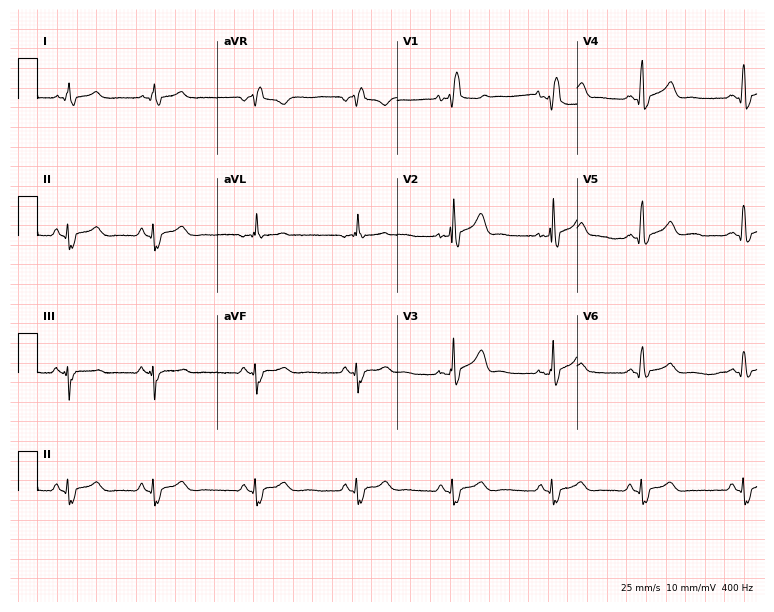
12-lead ECG from a man, 42 years old. No first-degree AV block, right bundle branch block, left bundle branch block, sinus bradycardia, atrial fibrillation or sinus tachycardia recorded for this tracing.